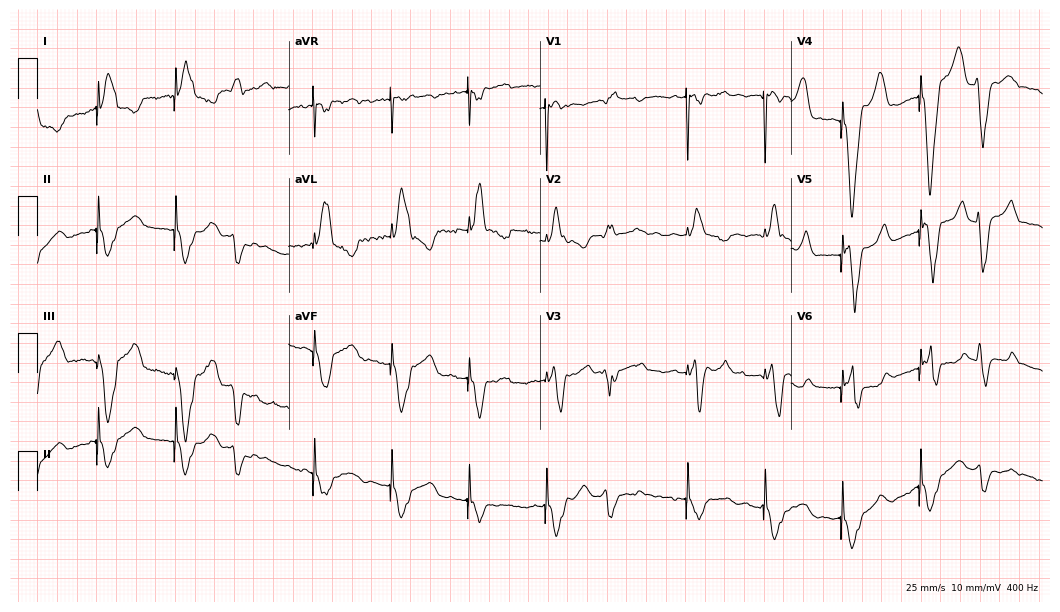
12-lead ECG from a male patient, 54 years old (10.2-second recording at 400 Hz). No first-degree AV block, right bundle branch block, left bundle branch block, sinus bradycardia, atrial fibrillation or sinus tachycardia recorded for this tracing.